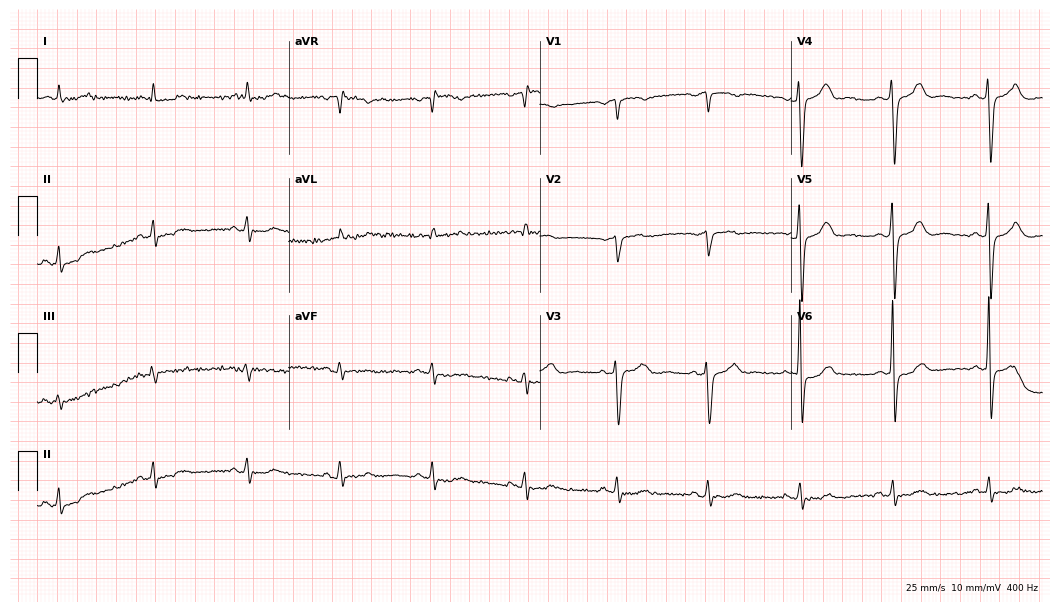
Standard 12-lead ECG recorded from a 69-year-old male patient. None of these six findings is recorded: first-degree AV block, right bundle branch block, left bundle branch block, sinus bradycardia, atrial fibrillation, sinus tachycardia. Only these six findings were labelled.